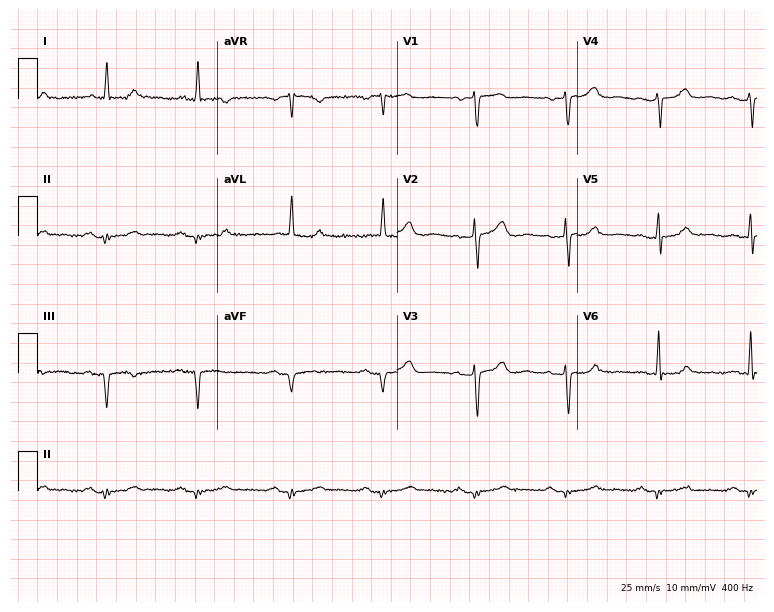
Standard 12-lead ECG recorded from a man, 80 years old. None of these six findings is recorded: first-degree AV block, right bundle branch block, left bundle branch block, sinus bradycardia, atrial fibrillation, sinus tachycardia.